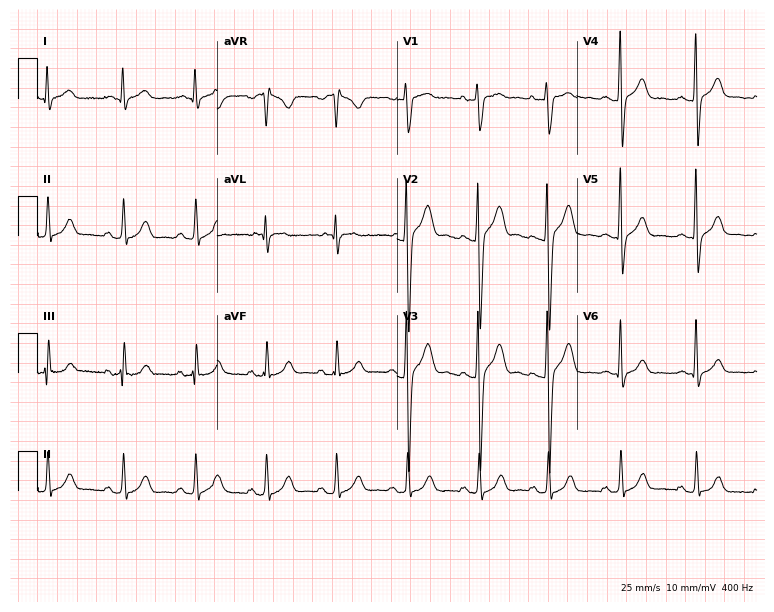
12-lead ECG (7.3-second recording at 400 Hz) from a man, 22 years old. Labelled as a normal ECG.